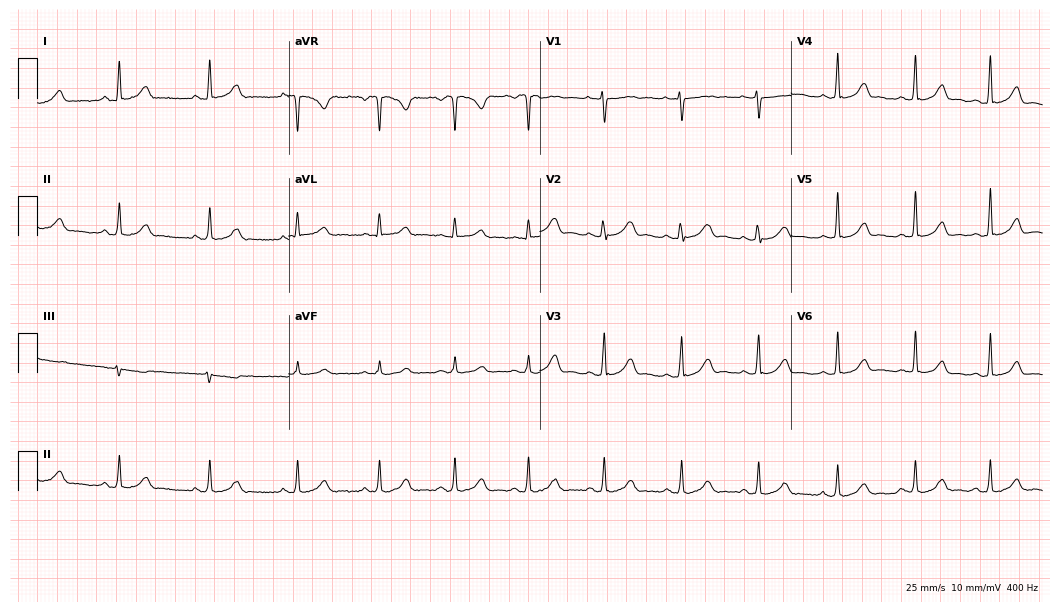
ECG — a 31-year-old woman. Labelled as a normal ECG.